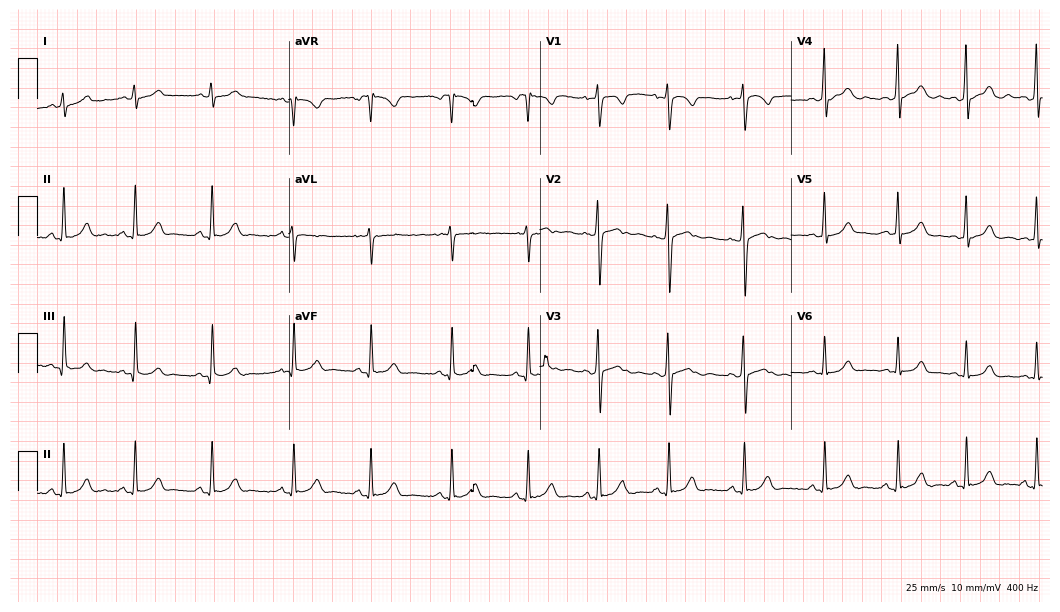
Standard 12-lead ECG recorded from a woman, 17 years old. None of these six findings is recorded: first-degree AV block, right bundle branch block, left bundle branch block, sinus bradycardia, atrial fibrillation, sinus tachycardia.